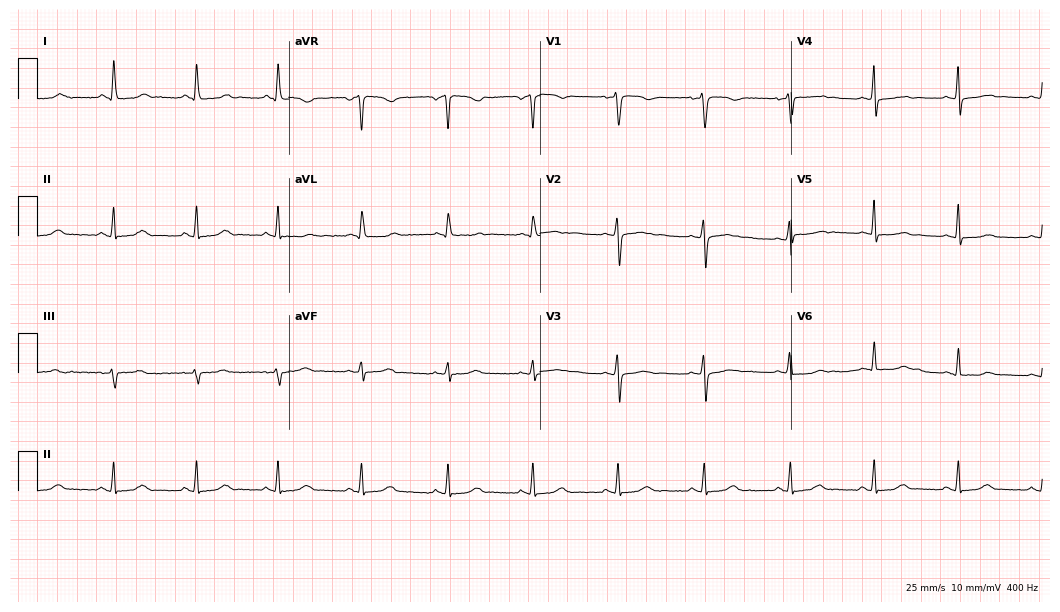
Standard 12-lead ECG recorded from a woman, 42 years old. None of these six findings is recorded: first-degree AV block, right bundle branch block (RBBB), left bundle branch block (LBBB), sinus bradycardia, atrial fibrillation (AF), sinus tachycardia.